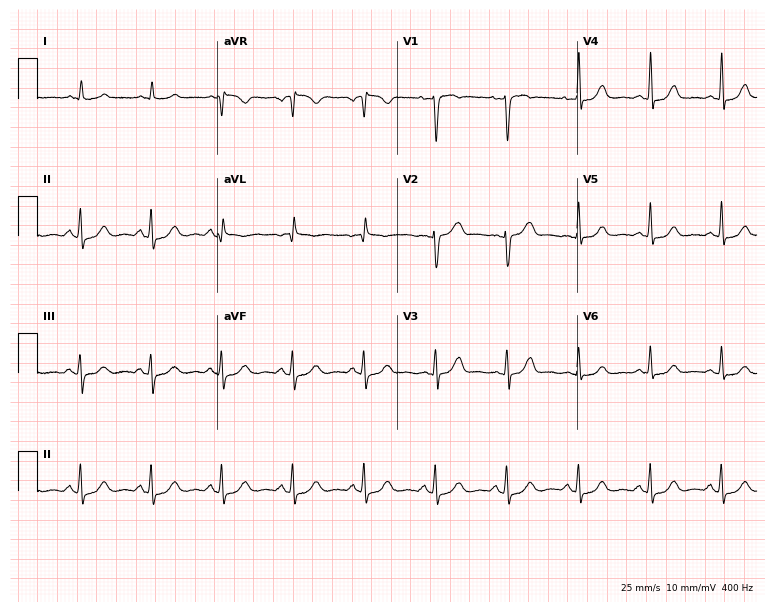
Standard 12-lead ECG recorded from a 40-year-old female patient (7.3-second recording at 400 Hz). Read as a normal ECG.